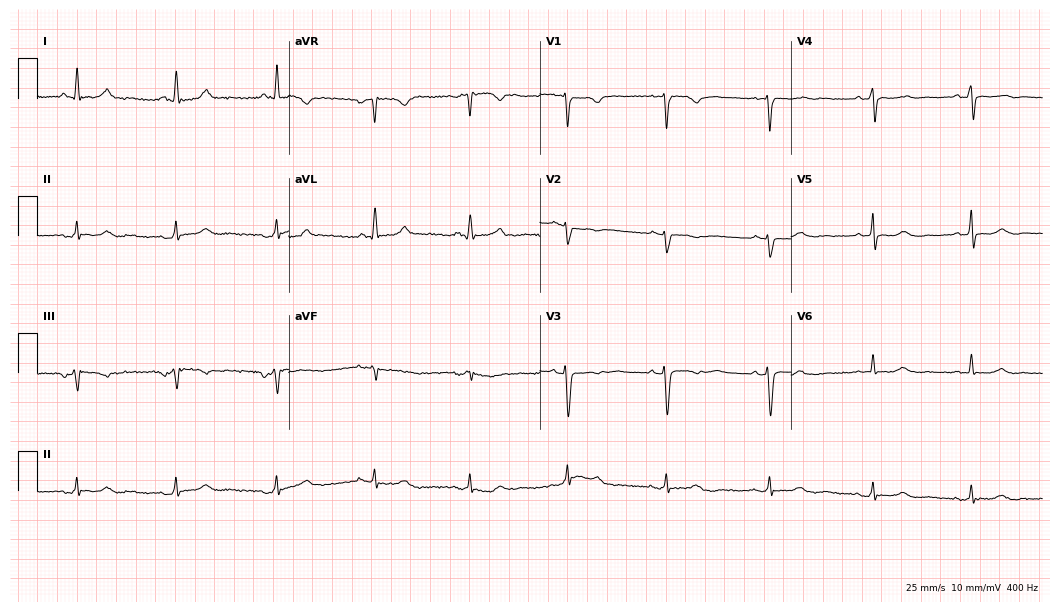
Standard 12-lead ECG recorded from a 67-year-old male. Read as a normal ECG.